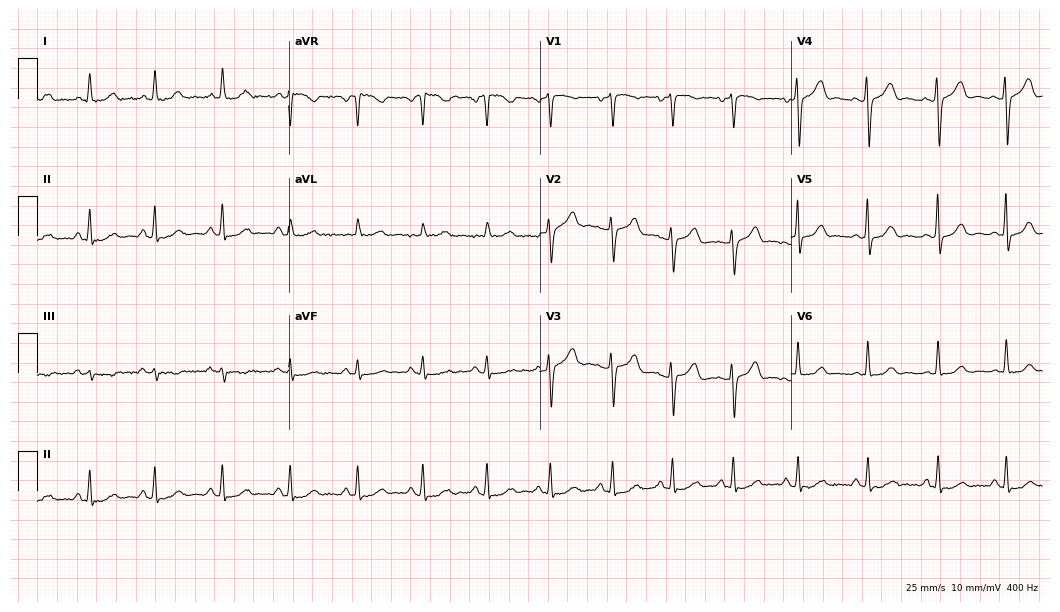
12-lead ECG from a female, 45 years old. Recorded interpretation: within normal limits.